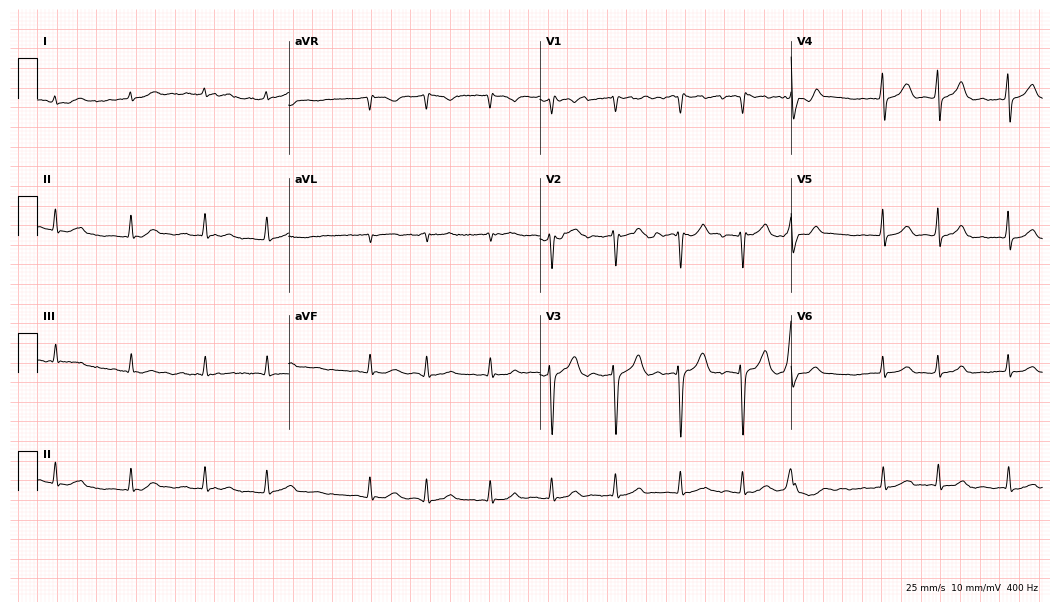
12-lead ECG from a male, 83 years old. Findings include atrial fibrillation.